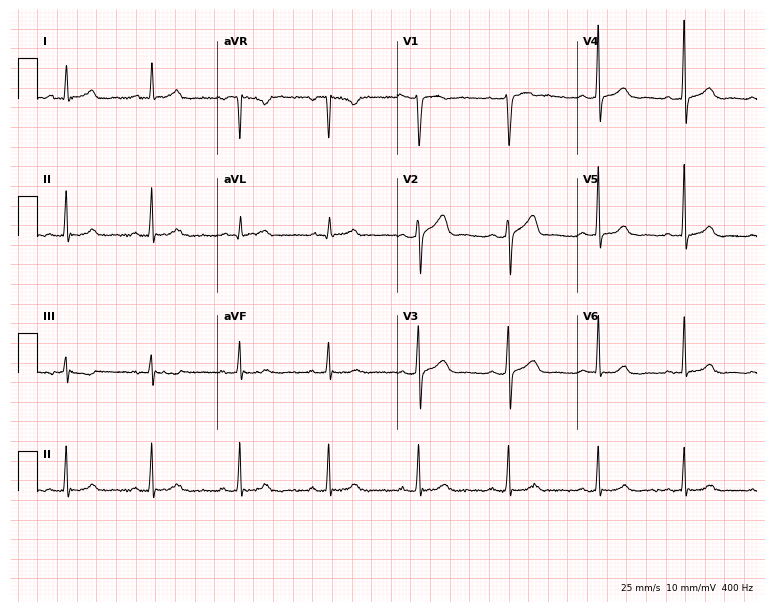
12-lead ECG from a 44-year-old female patient (7.3-second recording at 400 Hz). Recorded interpretation: within normal limits.